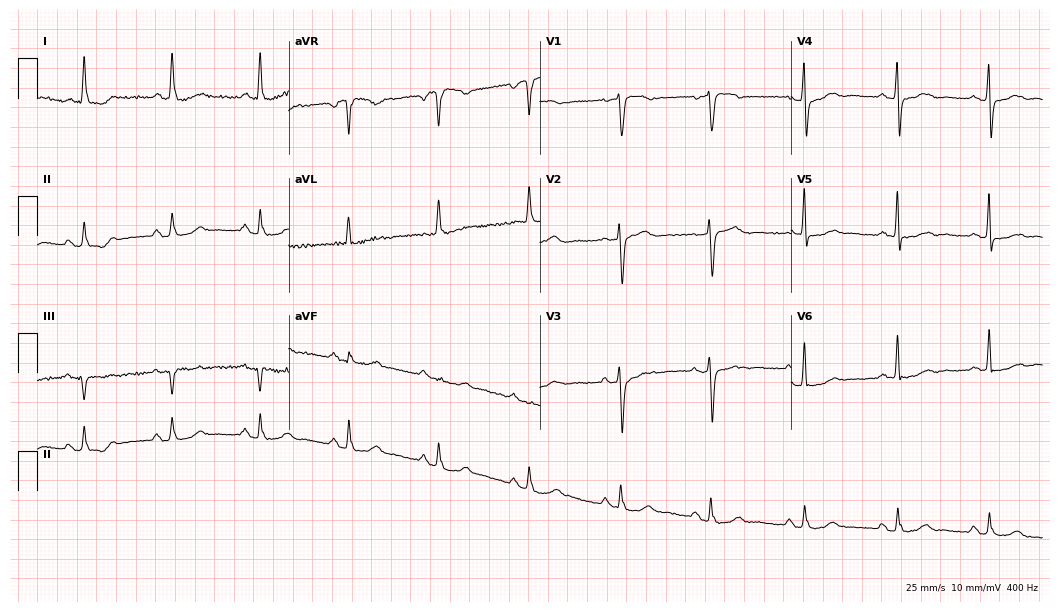
Resting 12-lead electrocardiogram (10.2-second recording at 400 Hz). Patient: a woman, 73 years old. None of these six findings is recorded: first-degree AV block, right bundle branch block, left bundle branch block, sinus bradycardia, atrial fibrillation, sinus tachycardia. Findings outside these six are not listed.